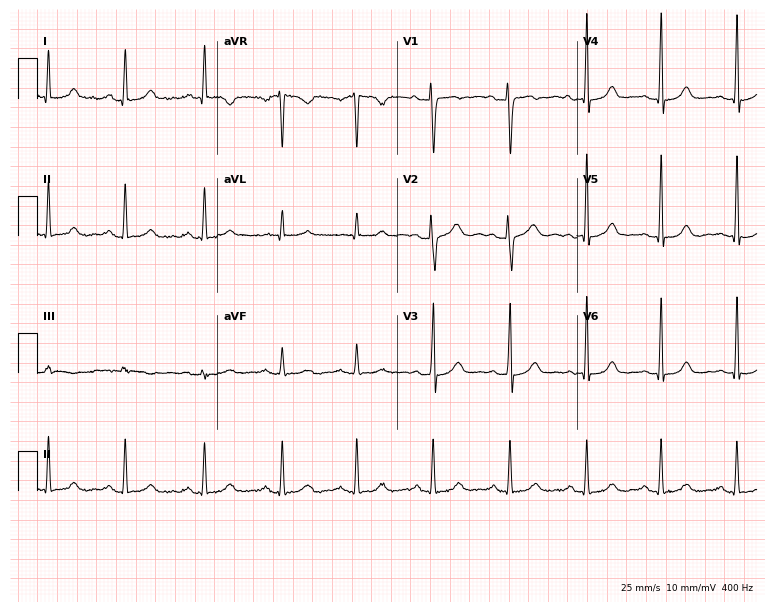
12-lead ECG from a 37-year-old woman. Screened for six findings — first-degree AV block, right bundle branch block, left bundle branch block, sinus bradycardia, atrial fibrillation, sinus tachycardia — none is recorded. Findings outside these six are not listed.